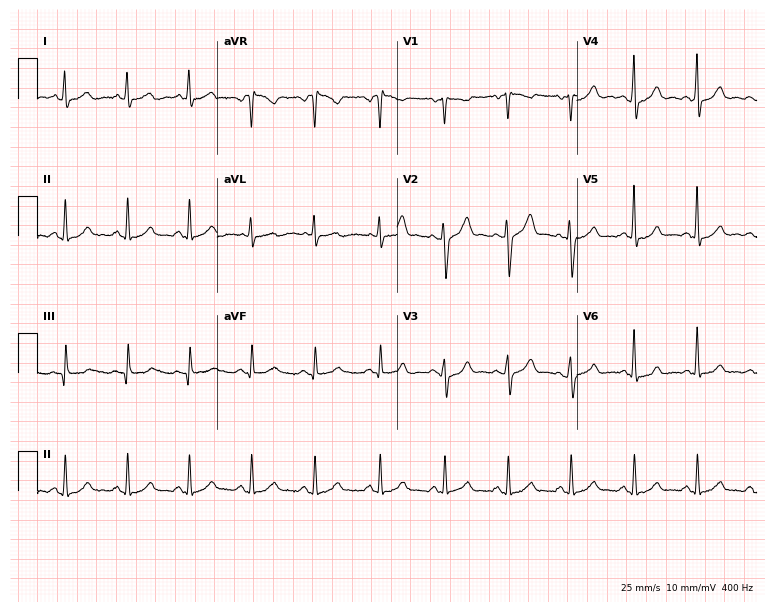
Standard 12-lead ECG recorded from a 53-year-old male patient. None of these six findings is recorded: first-degree AV block, right bundle branch block, left bundle branch block, sinus bradycardia, atrial fibrillation, sinus tachycardia. Only these six findings were labelled.